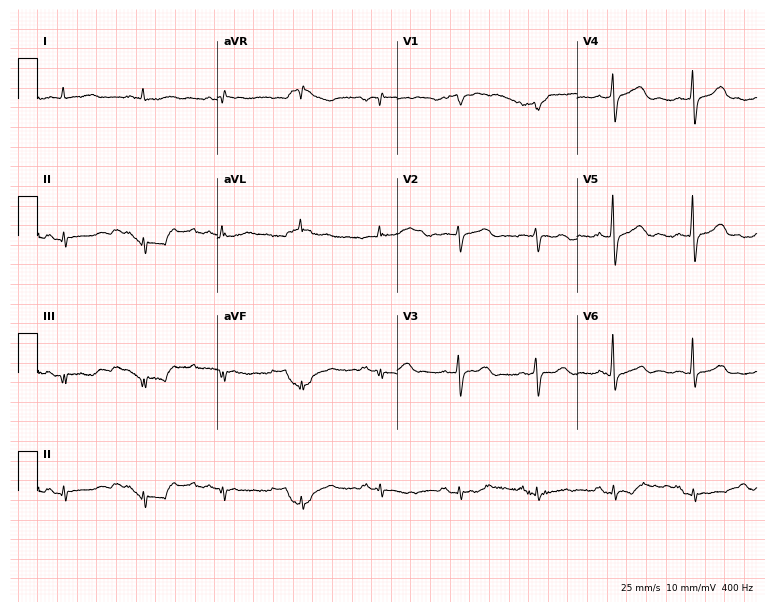
ECG — a female, 77 years old. Screened for six findings — first-degree AV block, right bundle branch block, left bundle branch block, sinus bradycardia, atrial fibrillation, sinus tachycardia — none is recorded. Other findings, if any, are not listed.